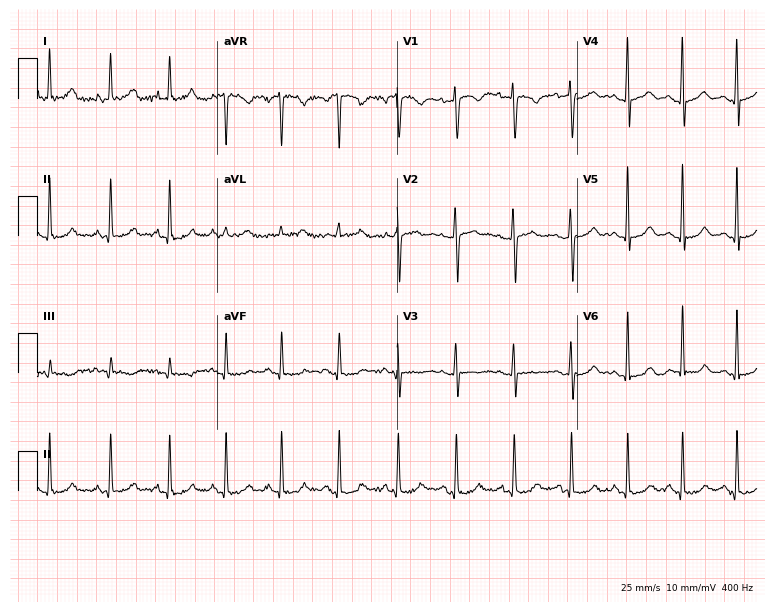
ECG (7.3-second recording at 400 Hz) — a female, 34 years old. Screened for six findings — first-degree AV block, right bundle branch block (RBBB), left bundle branch block (LBBB), sinus bradycardia, atrial fibrillation (AF), sinus tachycardia — none is recorded.